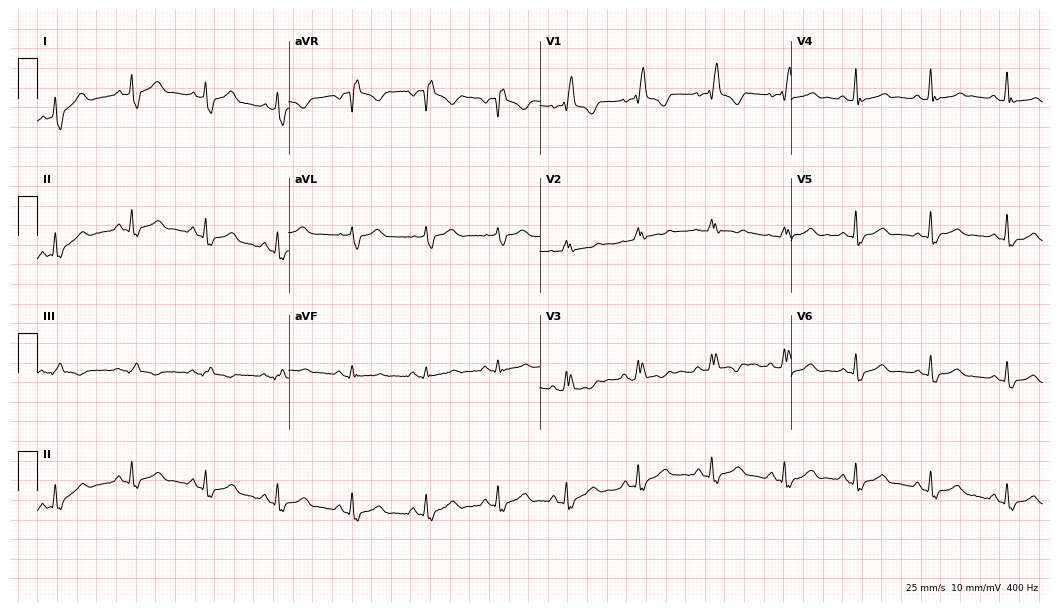
ECG — a 39-year-old woman. Findings include right bundle branch block (RBBB).